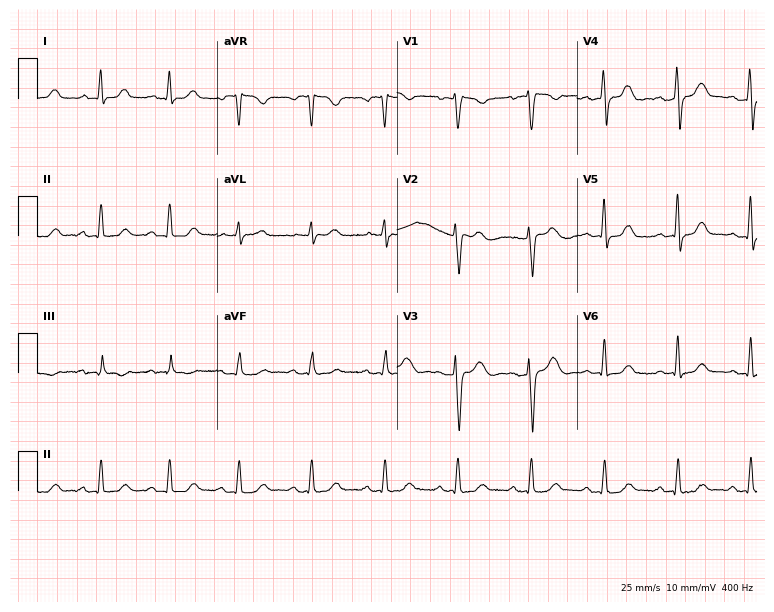
ECG (7.3-second recording at 400 Hz) — a 47-year-old woman. Labelled as a normal ECG.